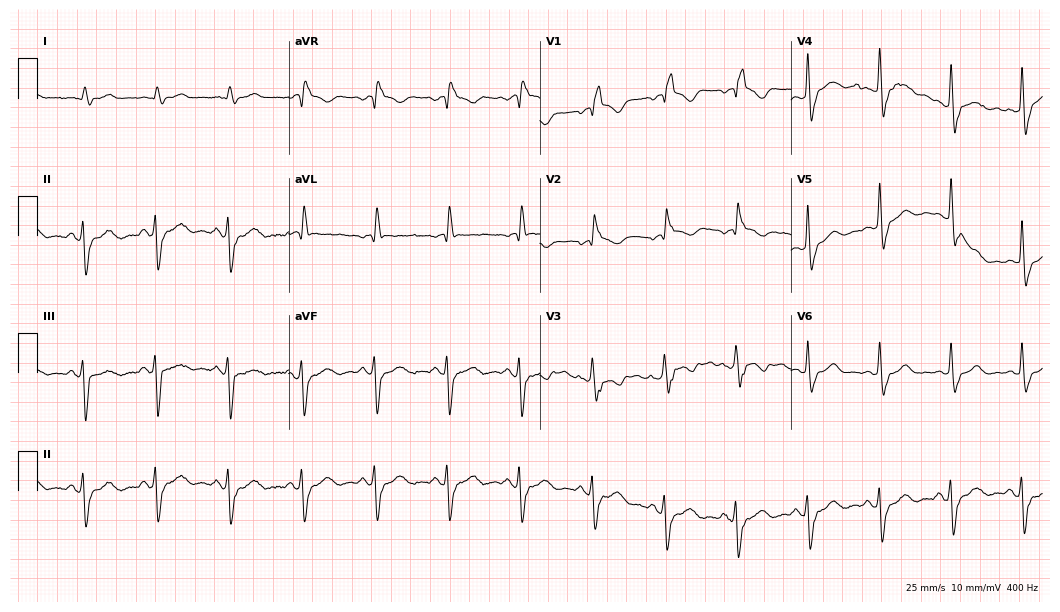
Standard 12-lead ECG recorded from an 86-year-old male patient. The tracing shows right bundle branch block.